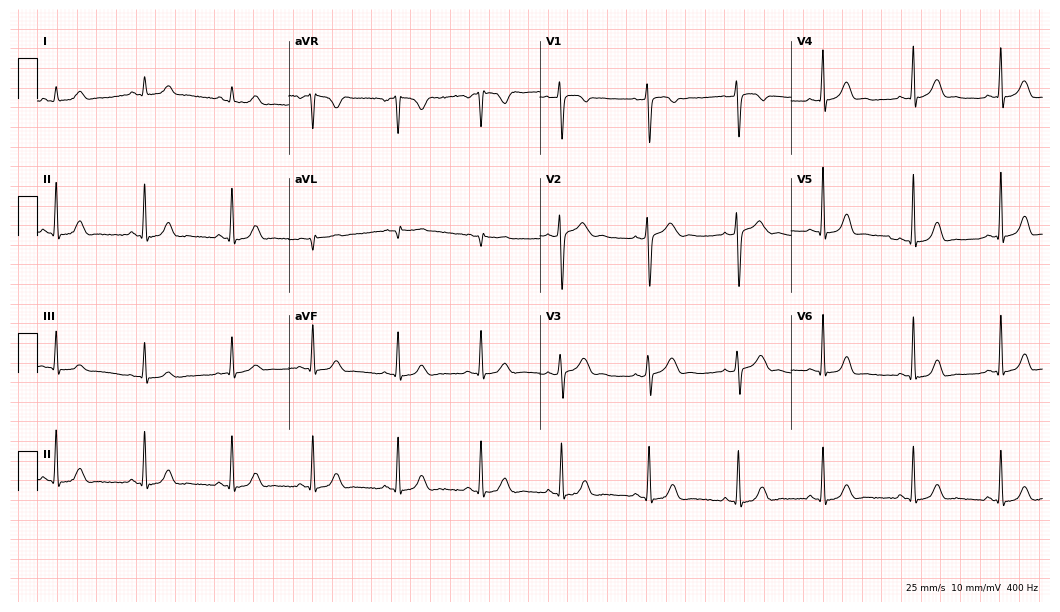
Resting 12-lead electrocardiogram. Patient: a 31-year-old female. Read as a normal ECG.